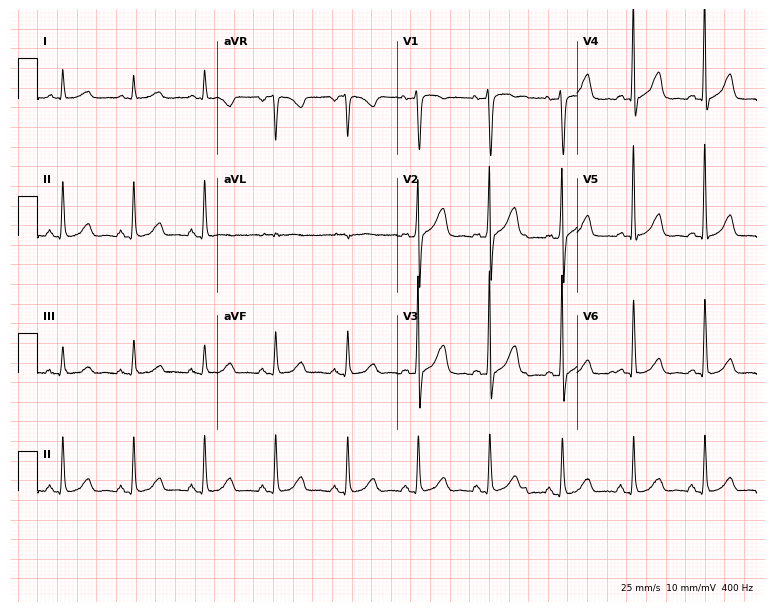
Resting 12-lead electrocardiogram (7.3-second recording at 400 Hz). Patient: a woman, 61 years old. None of these six findings is recorded: first-degree AV block, right bundle branch block, left bundle branch block, sinus bradycardia, atrial fibrillation, sinus tachycardia.